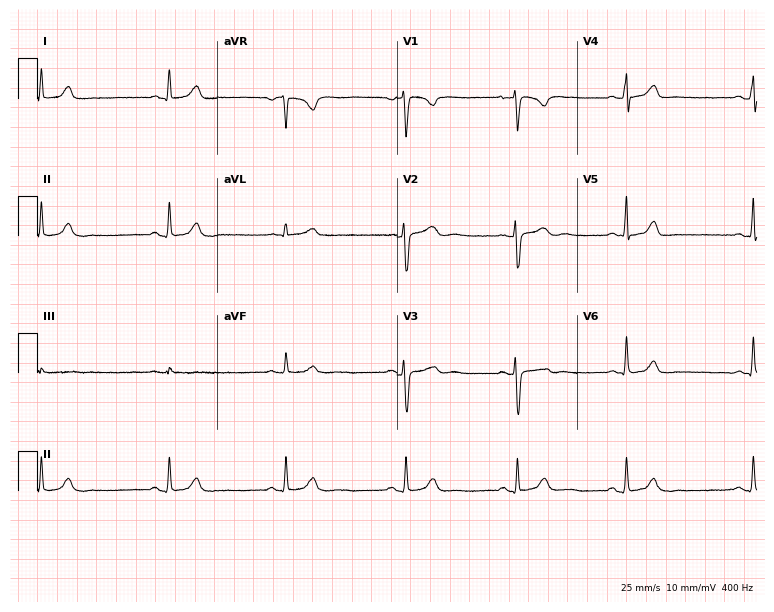
Electrocardiogram (7.3-second recording at 400 Hz), a 24-year-old female. Overall reading on record: normal ECG.